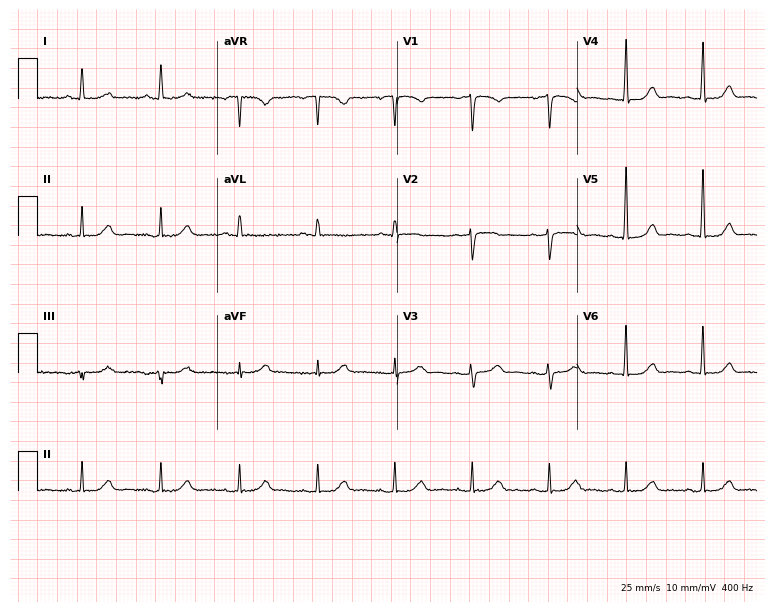
Standard 12-lead ECG recorded from a 79-year-old female. None of these six findings is recorded: first-degree AV block, right bundle branch block, left bundle branch block, sinus bradycardia, atrial fibrillation, sinus tachycardia.